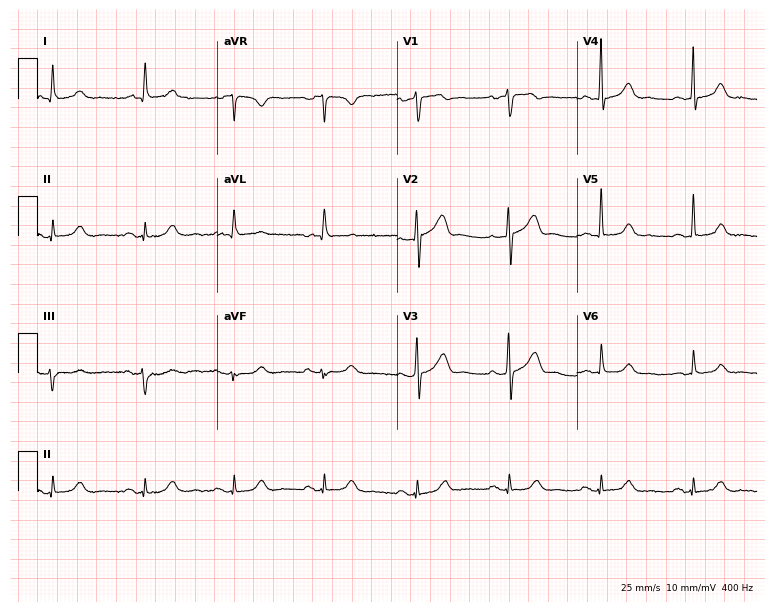
Standard 12-lead ECG recorded from a man, 67 years old. Read as a normal ECG.